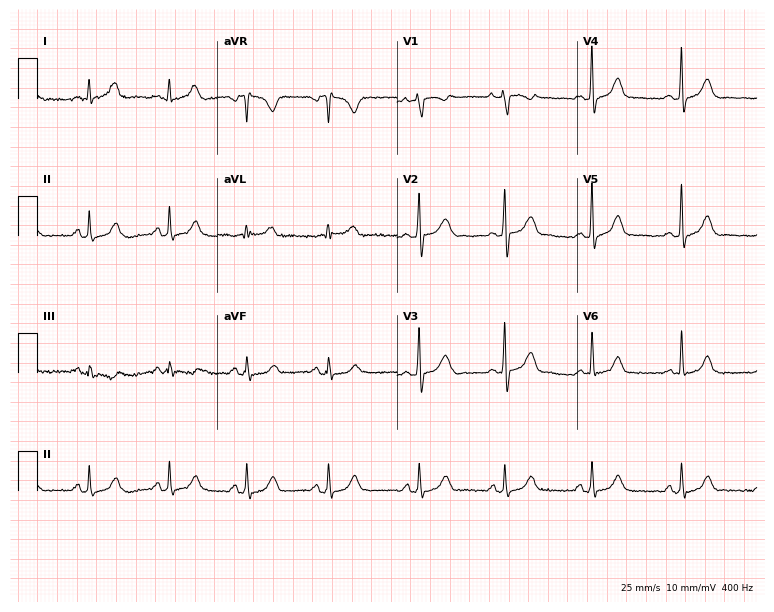
Electrocardiogram, a woman, 33 years old. Of the six screened findings (first-degree AV block, right bundle branch block, left bundle branch block, sinus bradycardia, atrial fibrillation, sinus tachycardia), none is recorded. Findings outside these six are not listed.